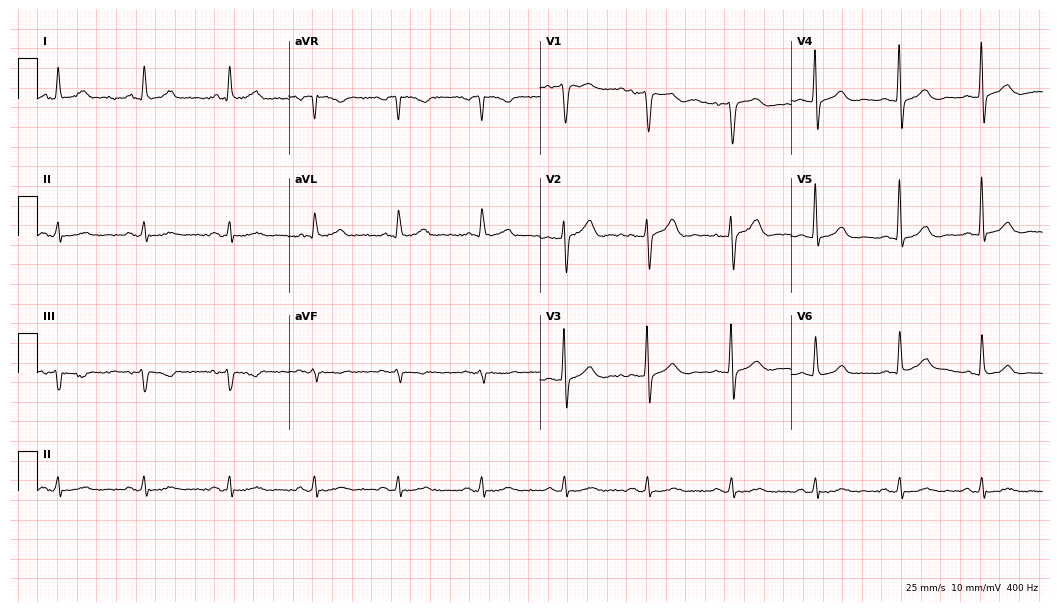
12-lead ECG from a 70-year-old male patient. No first-degree AV block, right bundle branch block, left bundle branch block, sinus bradycardia, atrial fibrillation or sinus tachycardia recorded for this tracing.